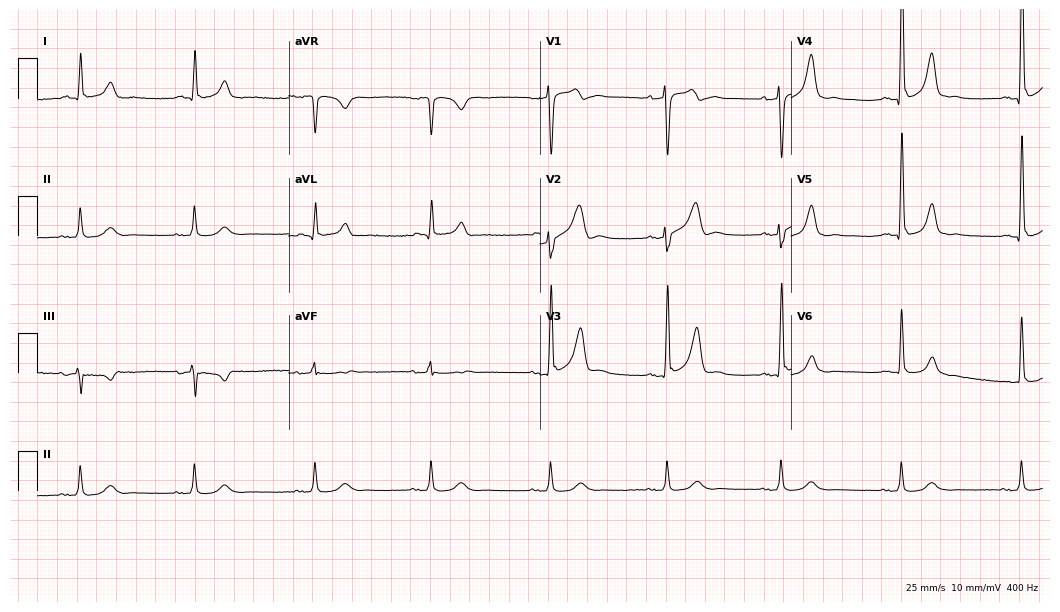
12-lead ECG (10.2-second recording at 400 Hz) from a male, 66 years old. Screened for six findings — first-degree AV block, right bundle branch block, left bundle branch block, sinus bradycardia, atrial fibrillation, sinus tachycardia — none is recorded. Other findings, if any, are not listed.